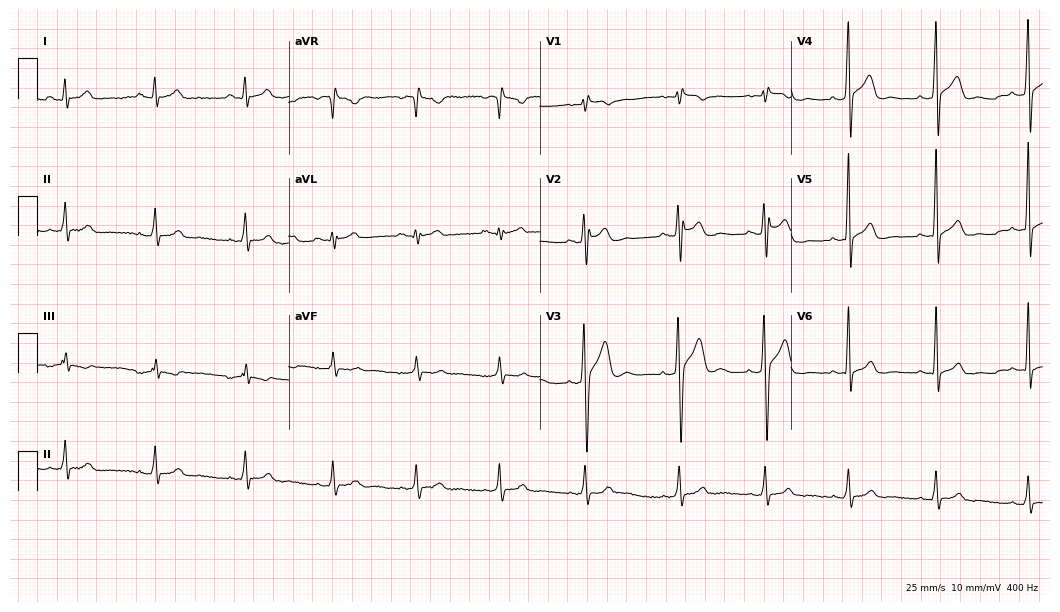
ECG (10.2-second recording at 400 Hz) — a 27-year-old male patient. Screened for six findings — first-degree AV block, right bundle branch block, left bundle branch block, sinus bradycardia, atrial fibrillation, sinus tachycardia — none is recorded.